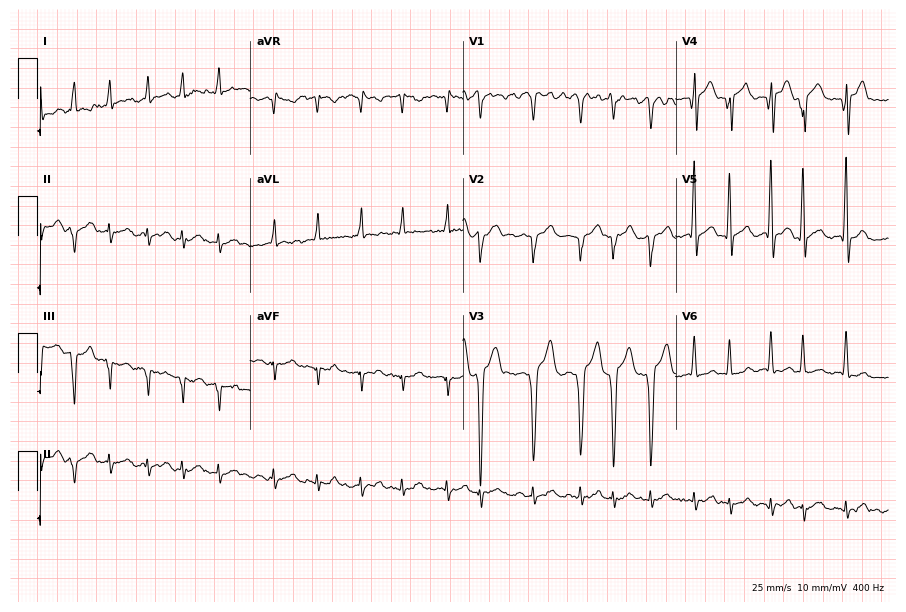
Electrocardiogram (8.7-second recording at 400 Hz), a 58-year-old male patient. Interpretation includes atrial fibrillation.